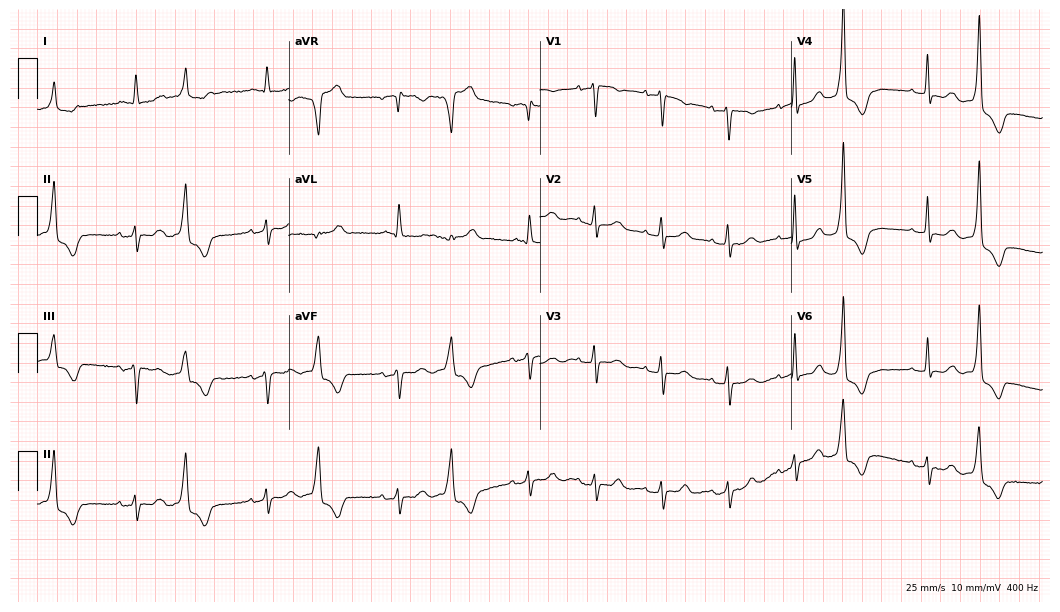
12-lead ECG from a woman, 78 years old. Labelled as a normal ECG.